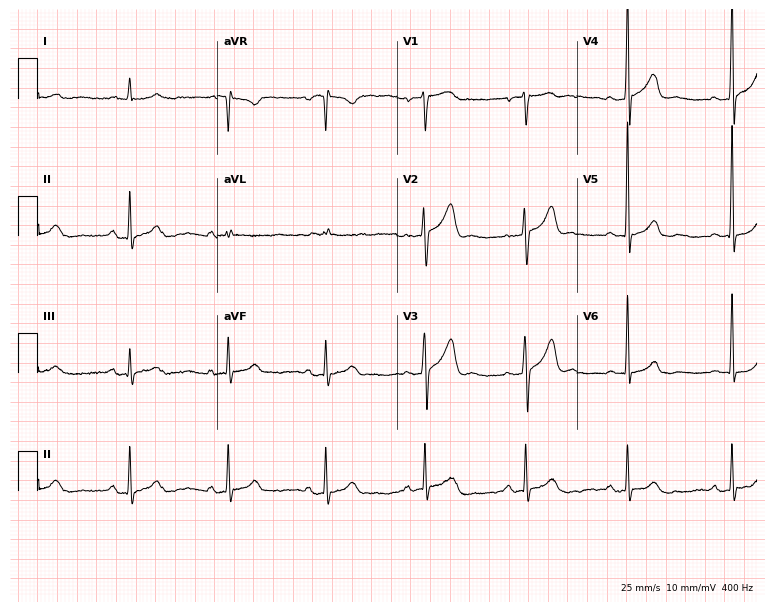
12-lead ECG from a 60-year-old man. No first-degree AV block, right bundle branch block, left bundle branch block, sinus bradycardia, atrial fibrillation or sinus tachycardia recorded for this tracing. Only these six findings were labelled.